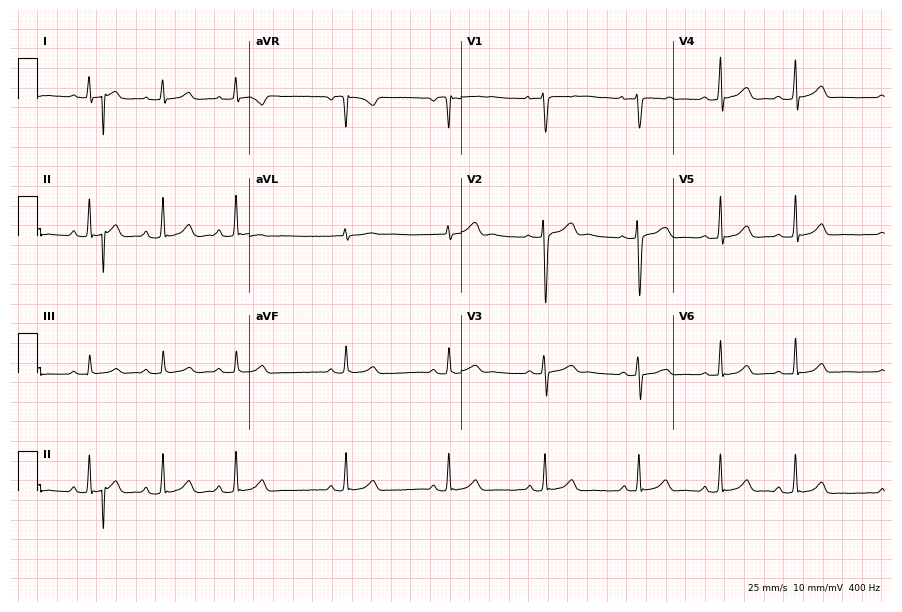
12-lead ECG from a 17-year-old female patient. Recorded interpretation: within normal limits.